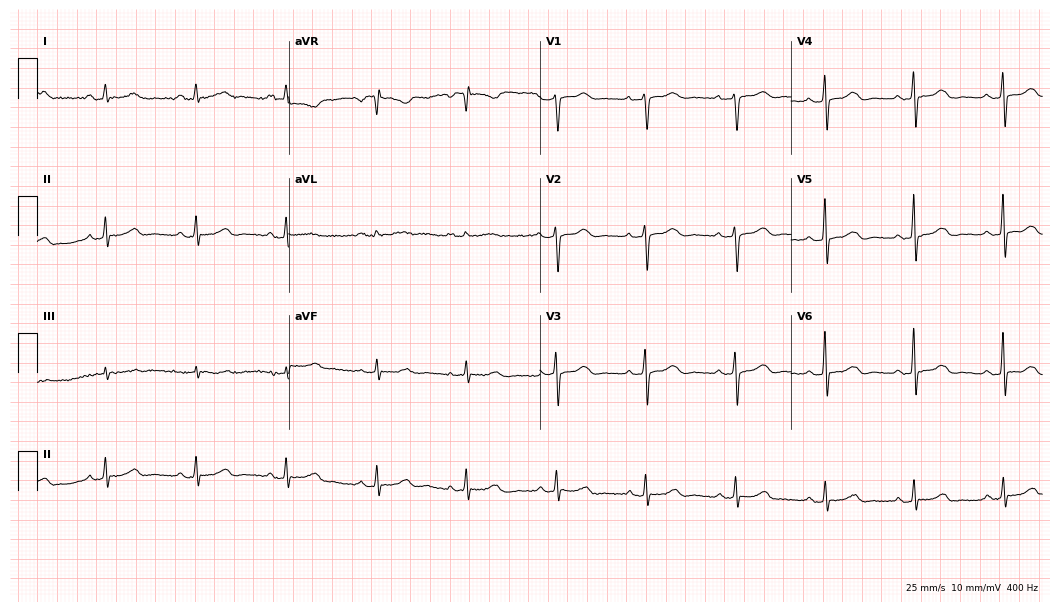
Resting 12-lead electrocardiogram. Patient: a 66-year-old woman. None of these six findings is recorded: first-degree AV block, right bundle branch block, left bundle branch block, sinus bradycardia, atrial fibrillation, sinus tachycardia. Findings outside these six are not listed.